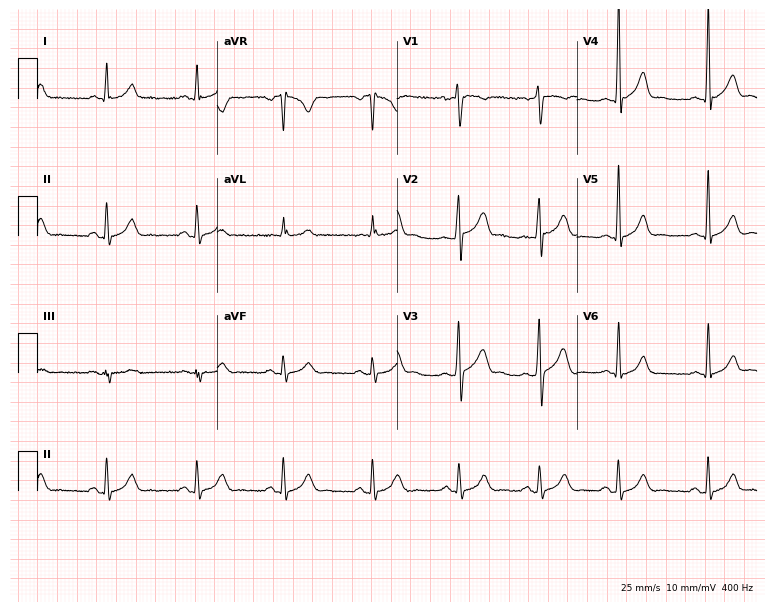
12-lead ECG (7.3-second recording at 400 Hz) from a 25-year-old male patient. Labelled as a normal ECG.